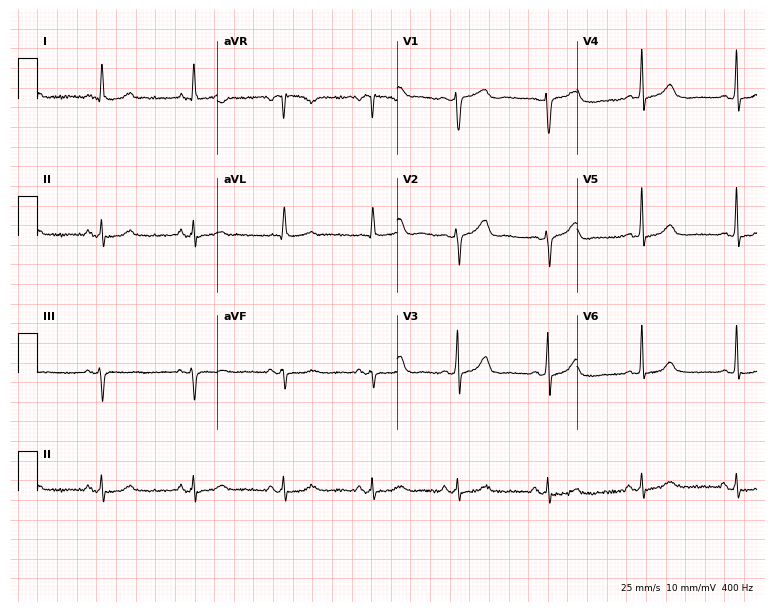
Electrocardiogram, a female, 54 years old. Overall reading on record: normal ECG.